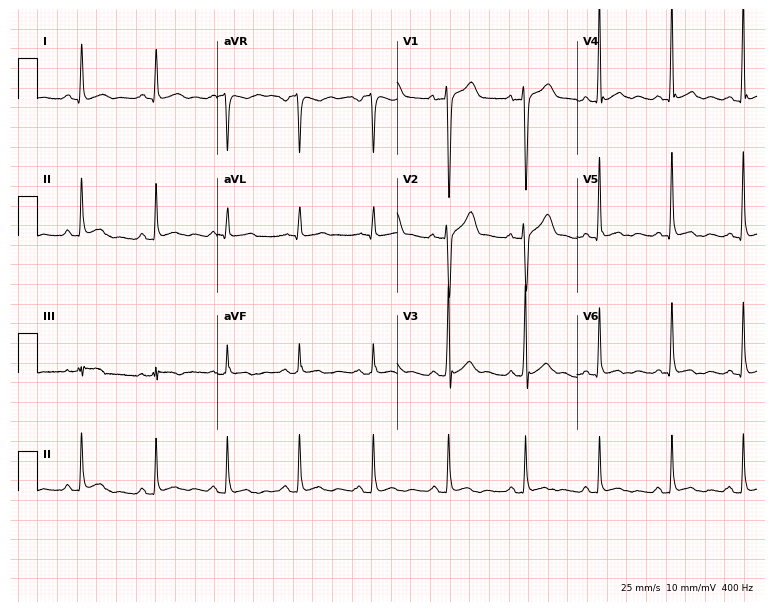
ECG (7.3-second recording at 400 Hz) — a 32-year-old man. Labelled as a normal ECG.